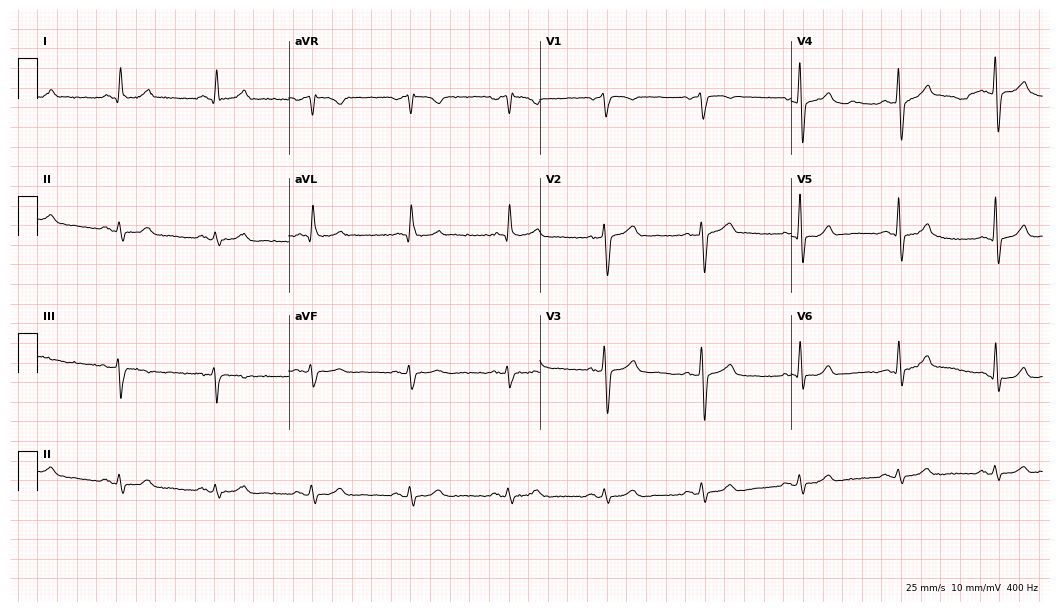
12-lead ECG from a male patient, 69 years old (10.2-second recording at 400 Hz). No first-degree AV block, right bundle branch block, left bundle branch block, sinus bradycardia, atrial fibrillation or sinus tachycardia recorded for this tracing.